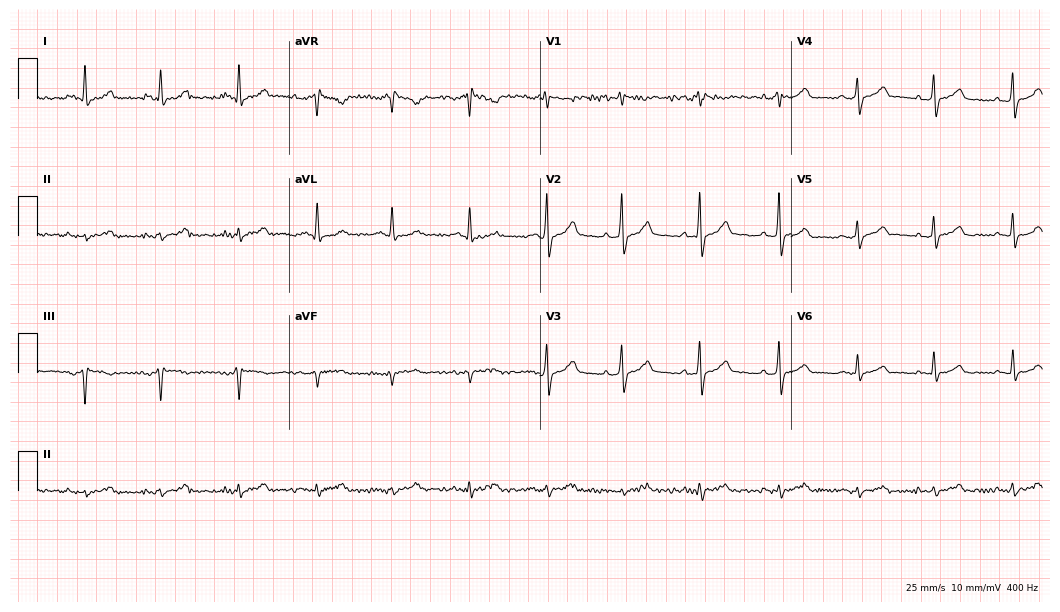
Standard 12-lead ECG recorded from a 53-year-old man (10.2-second recording at 400 Hz). Read as a normal ECG.